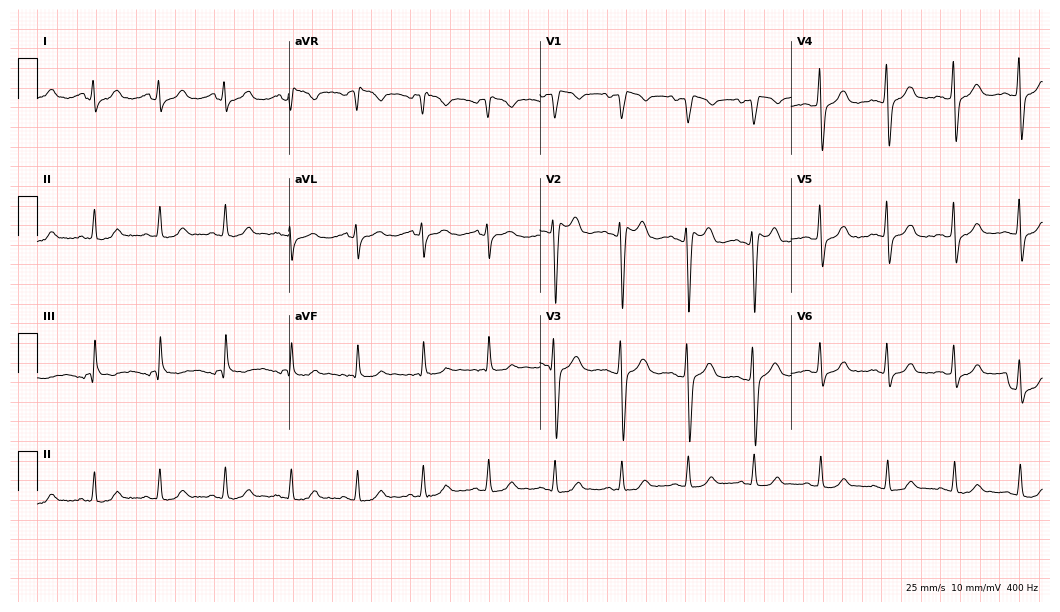
12-lead ECG from a 35-year-old male (10.2-second recording at 400 Hz). No first-degree AV block, right bundle branch block (RBBB), left bundle branch block (LBBB), sinus bradycardia, atrial fibrillation (AF) or sinus tachycardia recorded for this tracing. Other findings, if any, are not listed.